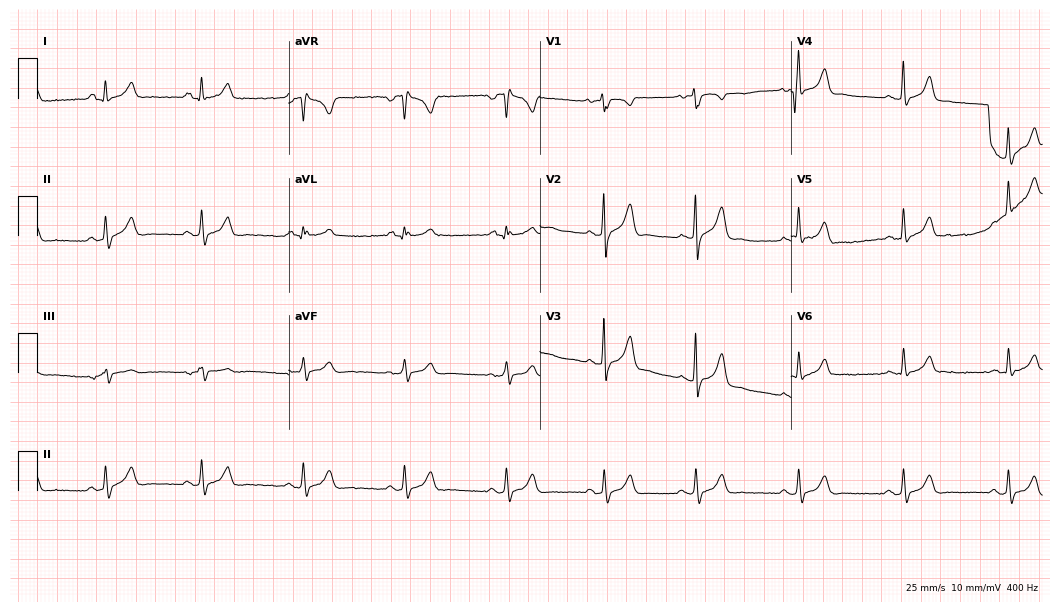
Resting 12-lead electrocardiogram. Patient: a 32-year-old female. Read as a normal ECG.